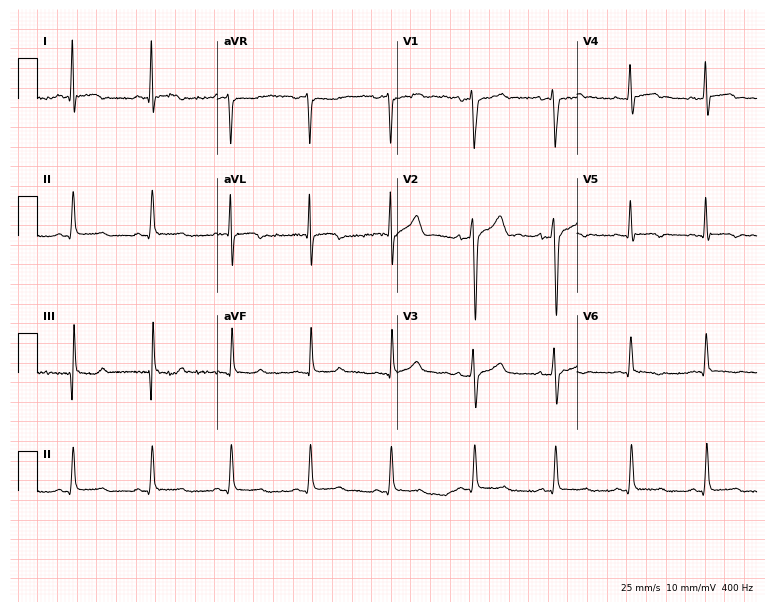
ECG (7.3-second recording at 400 Hz) — a male, 38 years old. Screened for six findings — first-degree AV block, right bundle branch block, left bundle branch block, sinus bradycardia, atrial fibrillation, sinus tachycardia — none is recorded. Other findings, if any, are not listed.